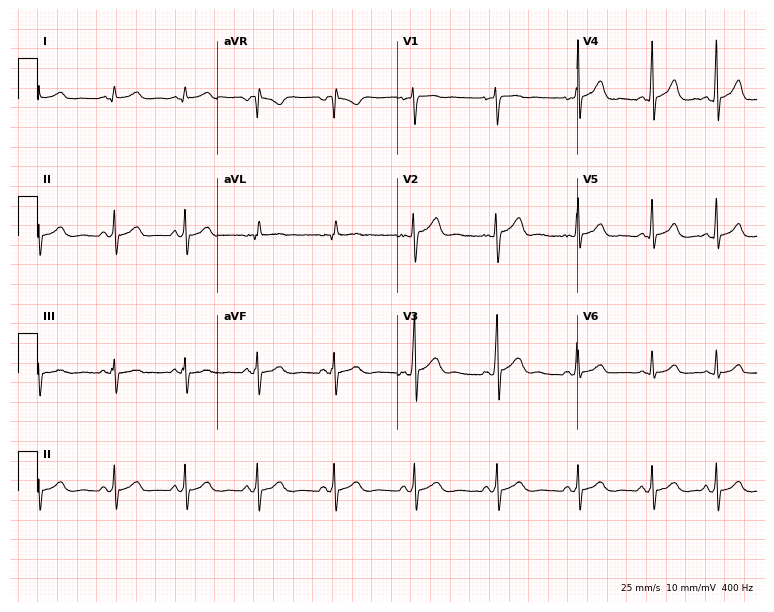
12-lead ECG from a man, 18 years old (7.3-second recording at 400 Hz). Recorded interpretation: within normal limits.